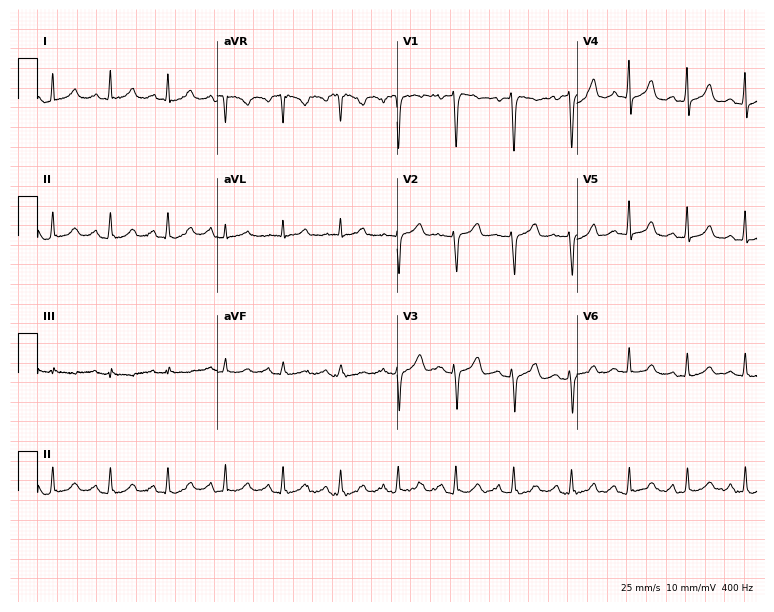
12-lead ECG (7.3-second recording at 400 Hz) from a female, 57 years old. Findings include sinus tachycardia (a sinus rate of 100 beats per minute or more).